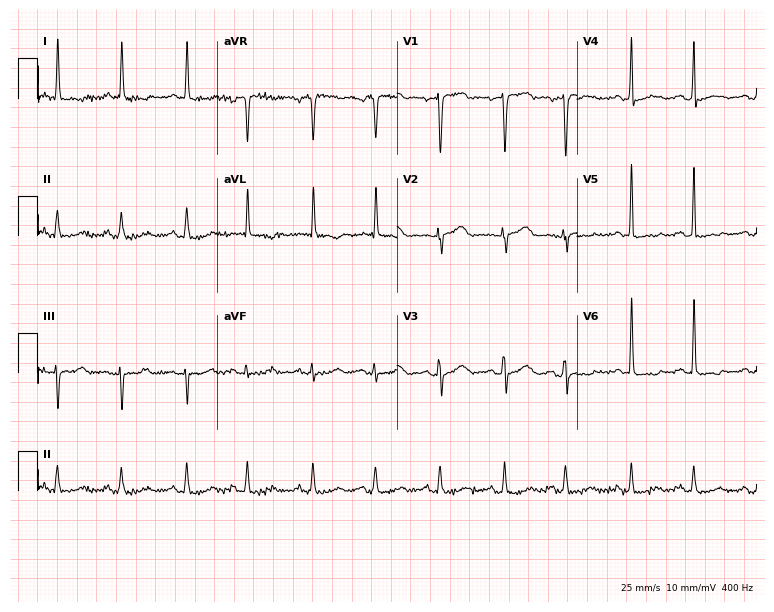
Resting 12-lead electrocardiogram. Patient: a 75-year-old woman. None of these six findings is recorded: first-degree AV block, right bundle branch block, left bundle branch block, sinus bradycardia, atrial fibrillation, sinus tachycardia.